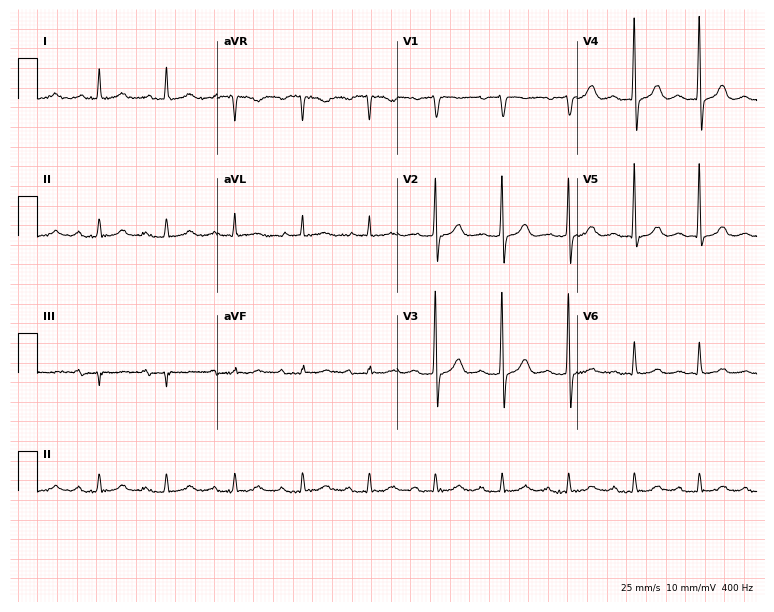
Standard 12-lead ECG recorded from a male patient, 79 years old (7.3-second recording at 400 Hz). None of these six findings is recorded: first-degree AV block, right bundle branch block, left bundle branch block, sinus bradycardia, atrial fibrillation, sinus tachycardia. Only these six findings were labelled.